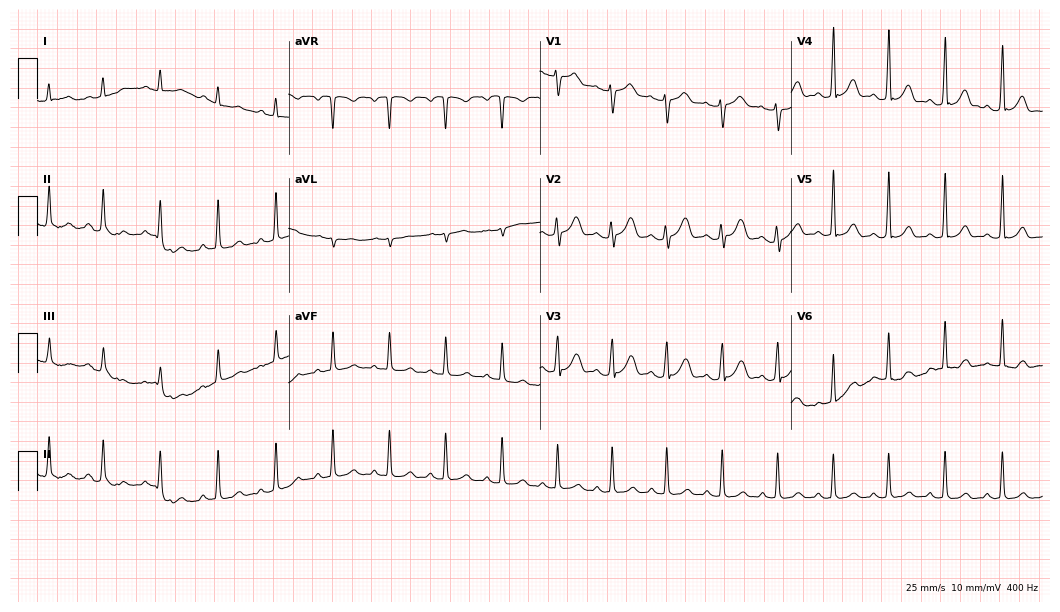
12-lead ECG (10.2-second recording at 400 Hz) from a 35-year-old female patient. Findings include sinus tachycardia (a sinus rate of 100 beats per minute or more).